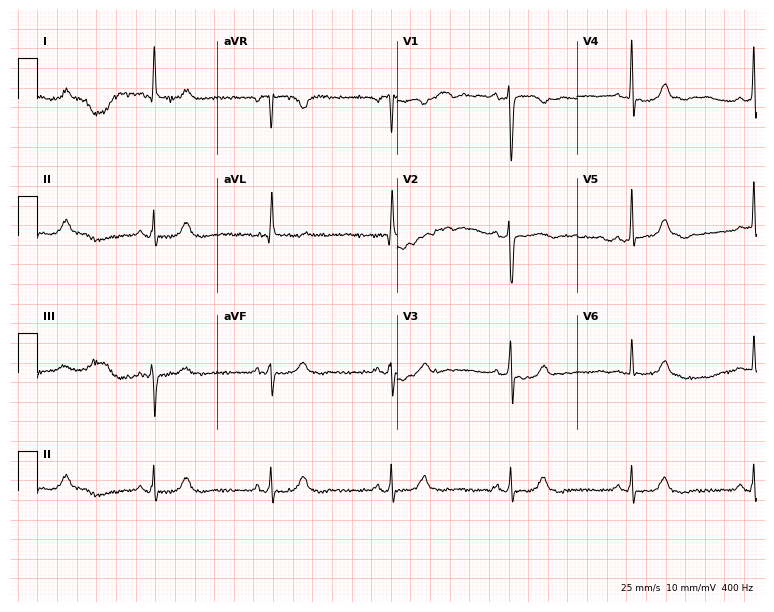
12-lead ECG from a 62-year-old woman. Shows sinus bradycardia (a sinus rate of 50 beats per minute or less).